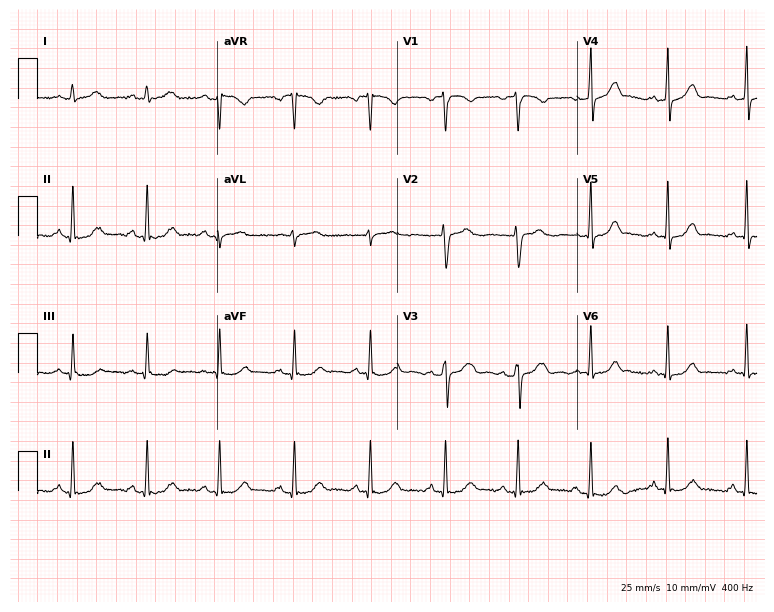
Electrocardiogram (7.3-second recording at 400 Hz), a 33-year-old female patient. Overall reading on record: normal ECG.